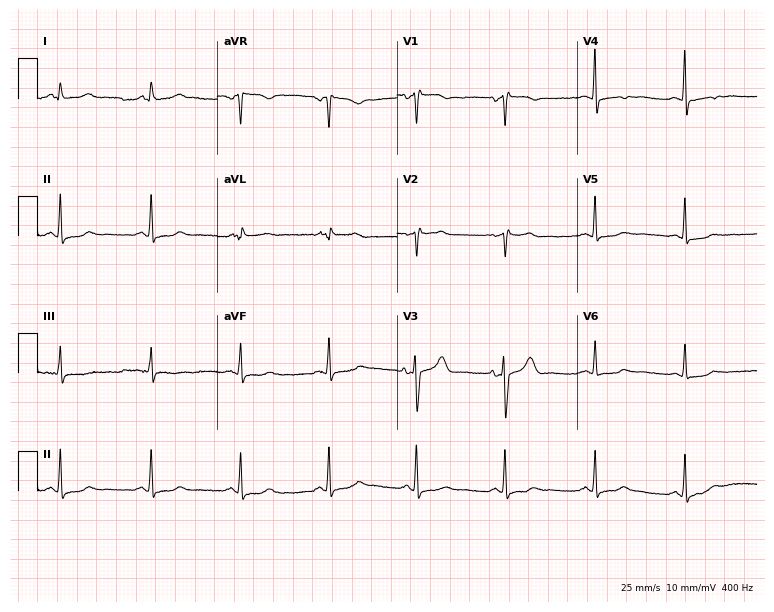
ECG — a female patient, 61 years old. Labelled as a normal ECG.